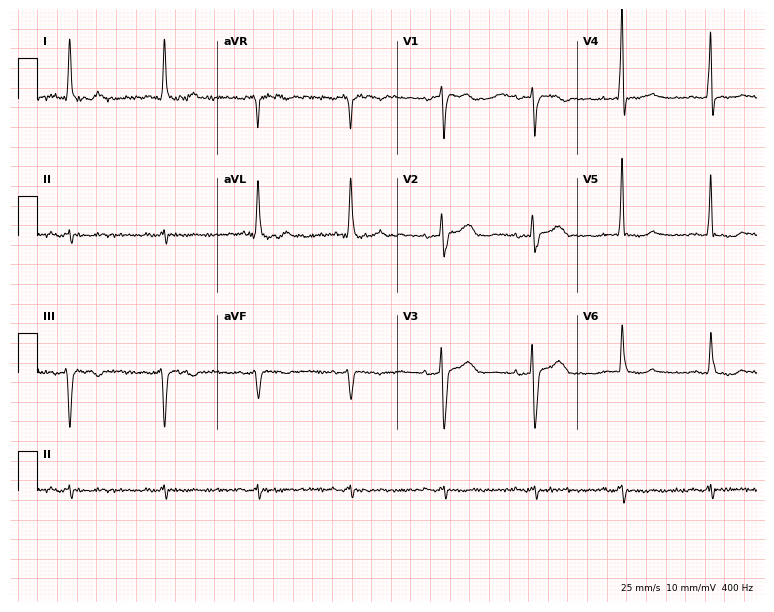
12-lead ECG from an 81-year-old female patient. No first-degree AV block, right bundle branch block (RBBB), left bundle branch block (LBBB), sinus bradycardia, atrial fibrillation (AF) or sinus tachycardia recorded for this tracing.